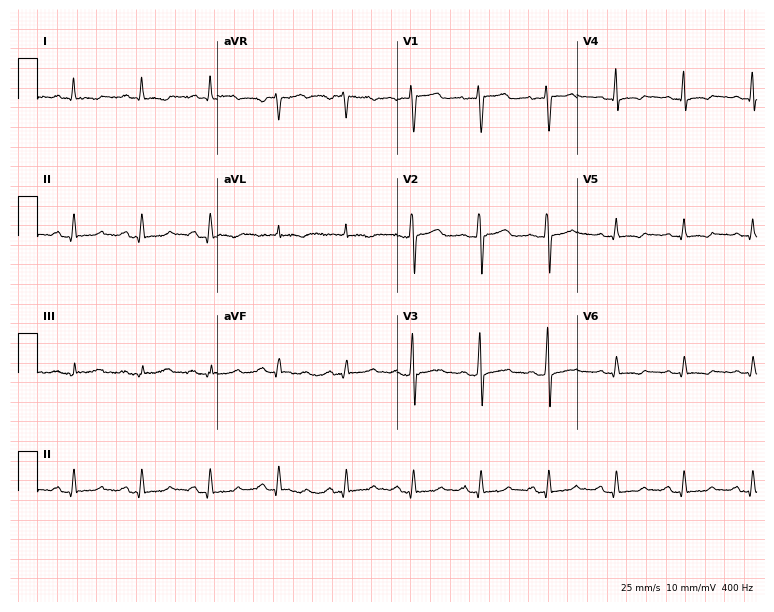
Resting 12-lead electrocardiogram. Patient: a 72-year-old female. None of these six findings is recorded: first-degree AV block, right bundle branch block, left bundle branch block, sinus bradycardia, atrial fibrillation, sinus tachycardia.